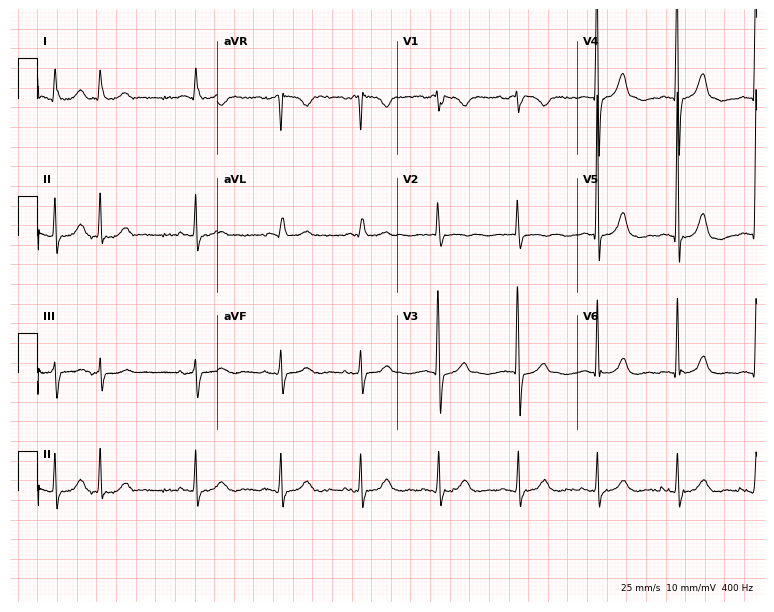
12-lead ECG (7.3-second recording at 400 Hz) from a female, 78 years old. Screened for six findings — first-degree AV block, right bundle branch block (RBBB), left bundle branch block (LBBB), sinus bradycardia, atrial fibrillation (AF), sinus tachycardia — none is recorded.